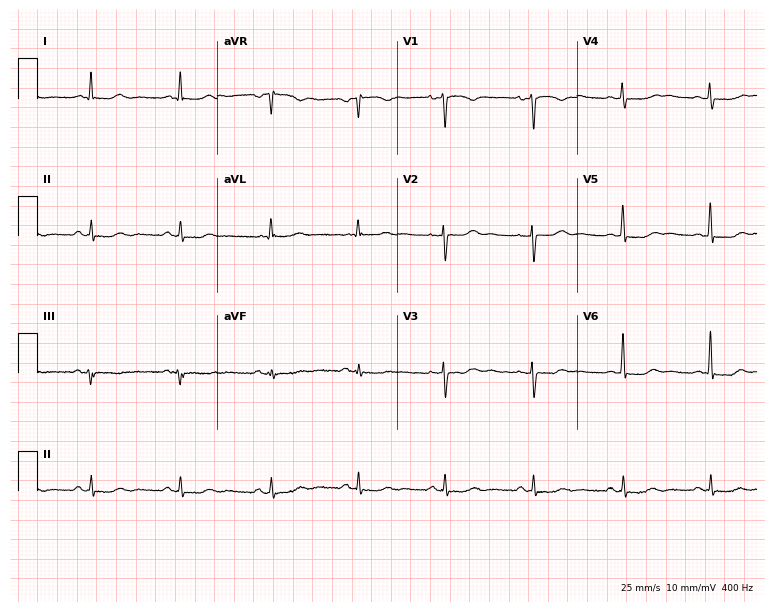
Standard 12-lead ECG recorded from a 54-year-old woman (7.3-second recording at 400 Hz). None of these six findings is recorded: first-degree AV block, right bundle branch block (RBBB), left bundle branch block (LBBB), sinus bradycardia, atrial fibrillation (AF), sinus tachycardia. Other findings, if any, are not listed.